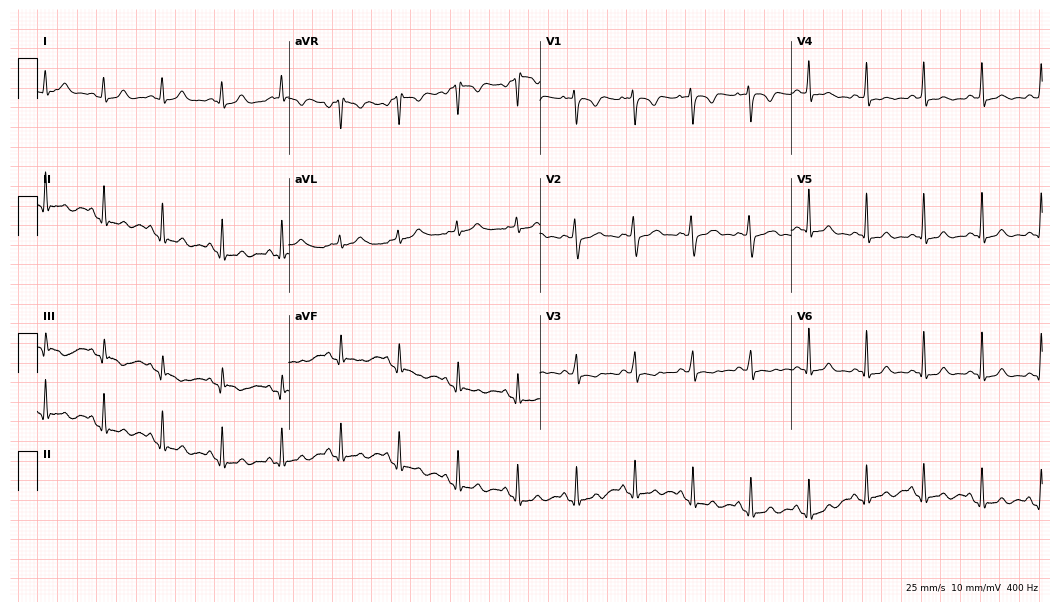
Standard 12-lead ECG recorded from a 22-year-old female patient. Read as a normal ECG.